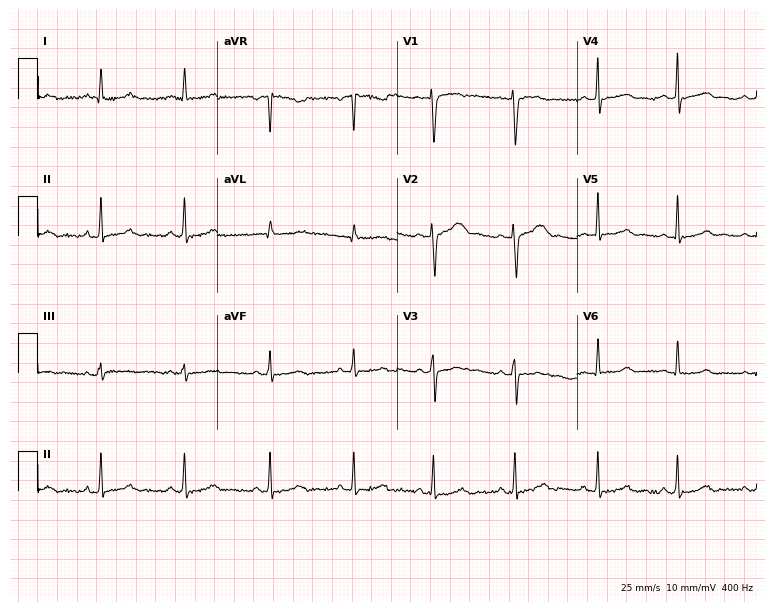
12-lead ECG from a woman, 26 years old. Screened for six findings — first-degree AV block, right bundle branch block, left bundle branch block, sinus bradycardia, atrial fibrillation, sinus tachycardia — none is recorded. Findings outside these six are not listed.